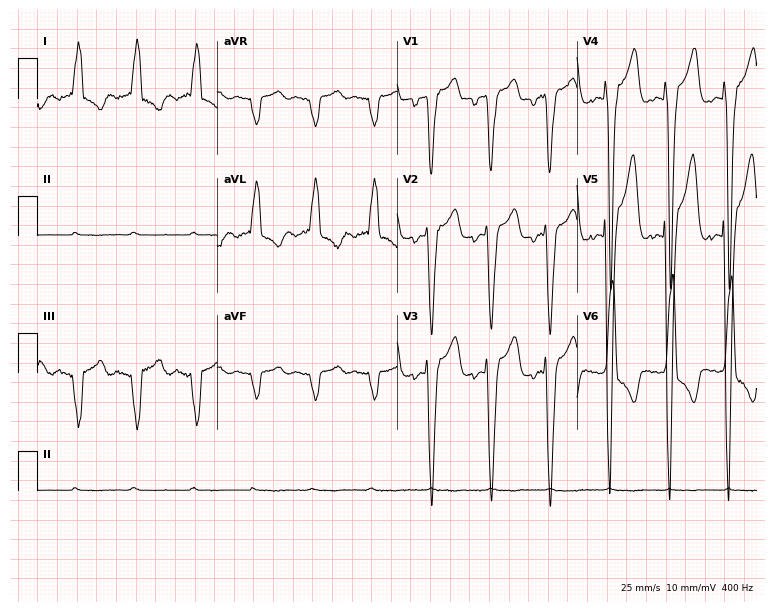
Standard 12-lead ECG recorded from a 79-year-old female. The tracing shows left bundle branch block (LBBB).